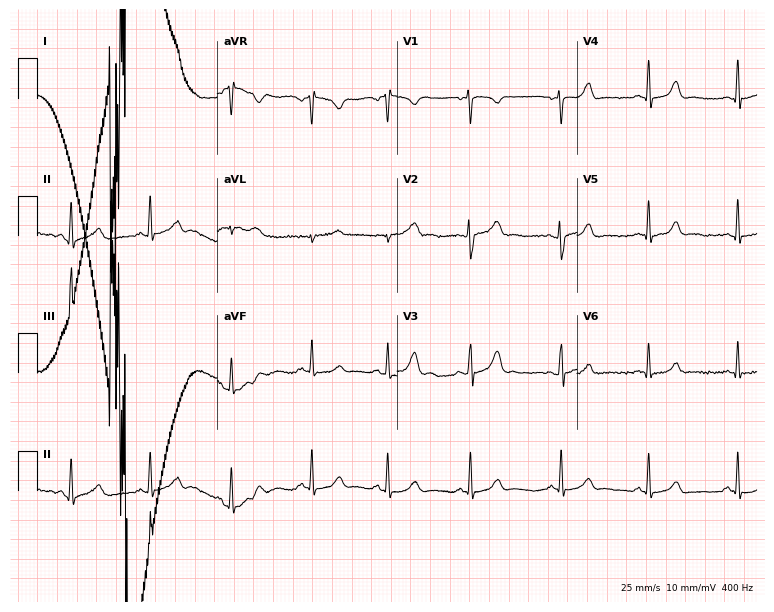
Standard 12-lead ECG recorded from a 21-year-old female patient (7.3-second recording at 400 Hz). None of these six findings is recorded: first-degree AV block, right bundle branch block (RBBB), left bundle branch block (LBBB), sinus bradycardia, atrial fibrillation (AF), sinus tachycardia. Only these six findings were labelled.